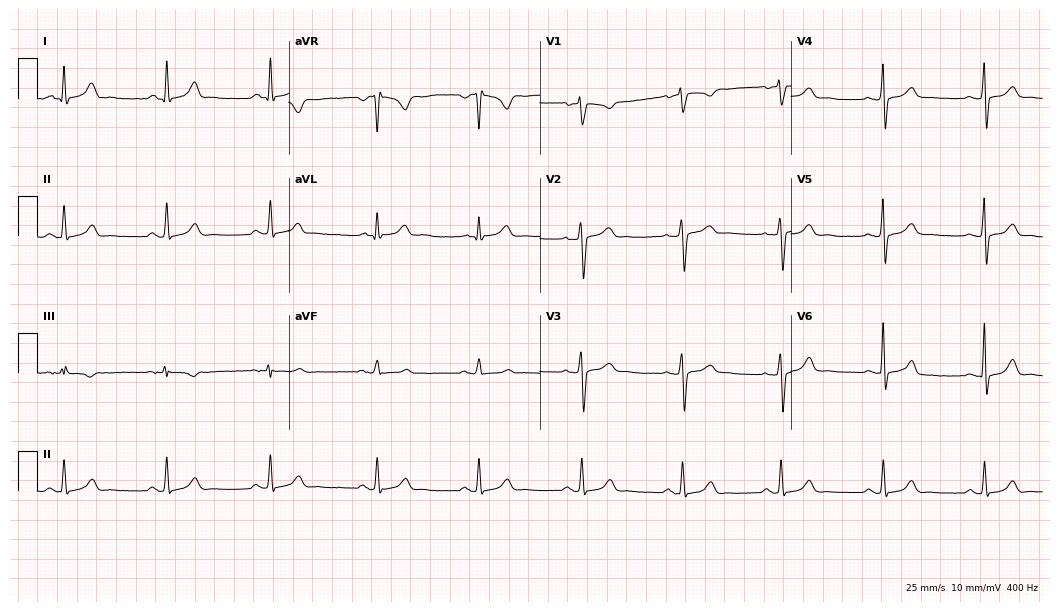
Standard 12-lead ECG recorded from a male patient, 48 years old. None of these six findings is recorded: first-degree AV block, right bundle branch block, left bundle branch block, sinus bradycardia, atrial fibrillation, sinus tachycardia.